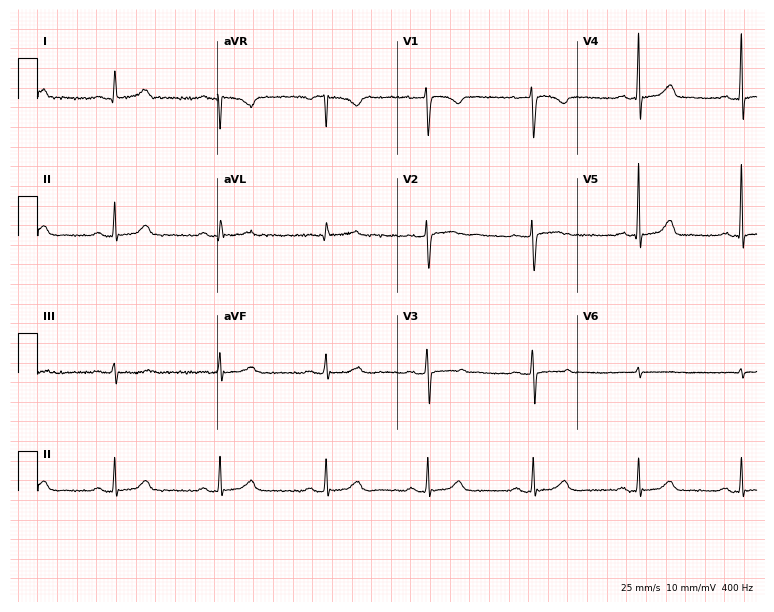
Electrocardiogram, a female patient, 56 years old. Of the six screened findings (first-degree AV block, right bundle branch block, left bundle branch block, sinus bradycardia, atrial fibrillation, sinus tachycardia), none is recorded.